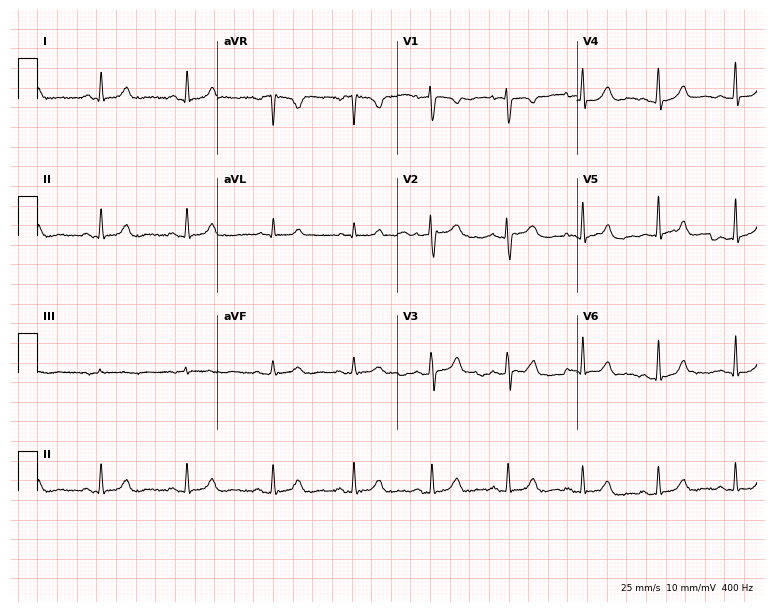
Resting 12-lead electrocardiogram (7.3-second recording at 400 Hz). Patient: a woman, 48 years old. None of these six findings is recorded: first-degree AV block, right bundle branch block, left bundle branch block, sinus bradycardia, atrial fibrillation, sinus tachycardia. Findings outside these six are not listed.